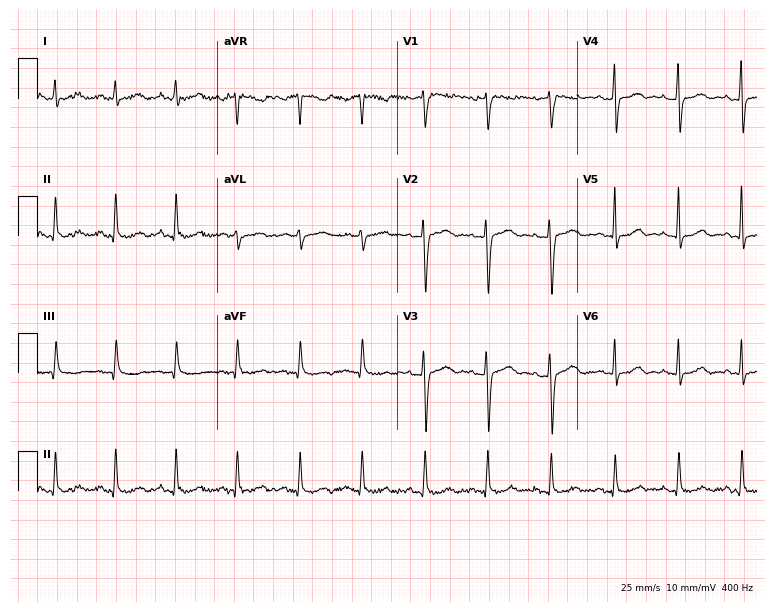
Resting 12-lead electrocardiogram (7.3-second recording at 400 Hz). Patient: a female, 58 years old. None of these six findings is recorded: first-degree AV block, right bundle branch block, left bundle branch block, sinus bradycardia, atrial fibrillation, sinus tachycardia. Other findings, if any, are not listed.